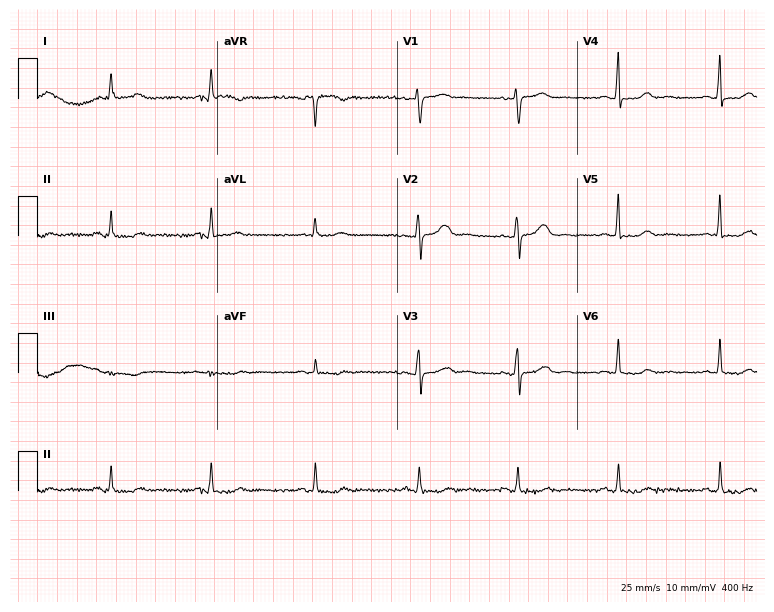
12-lead ECG from a 49-year-old female patient. No first-degree AV block, right bundle branch block, left bundle branch block, sinus bradycardia, atrial fibrillation or sinus tachycardia recorded for this tracing.